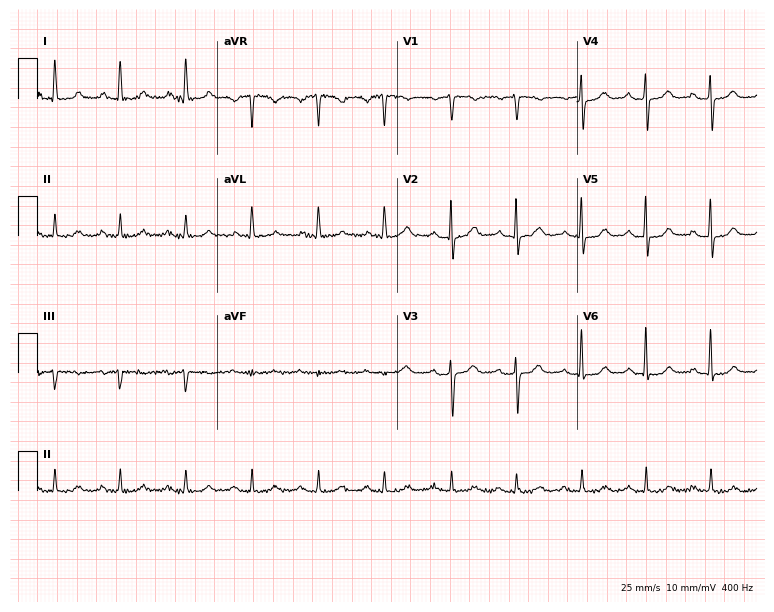
Electrocardiogram, a 66-year-old female patient. Of the six screened findings (first-degree AV block, right bundle branch block, left bundle branch block, sinus bradycardia, atrial fibrillation, sinus tachycardia), none is recorded.